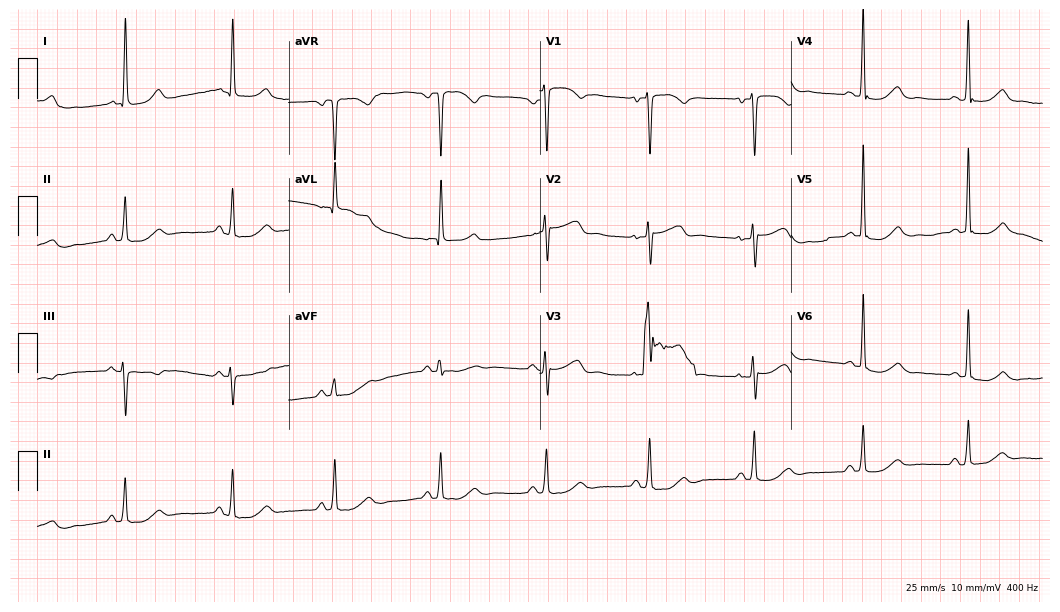
Electrocardiogram (10.2-second recording at 400 Hz), a female, 64 years old. Of the six screened findings (first-degree AV block, right bundle branch block, left bundle branch block, sinus bradycardia, atrial fibrillation, sinus tachycardia), none is recorded. Other findings, if any, are not listed.